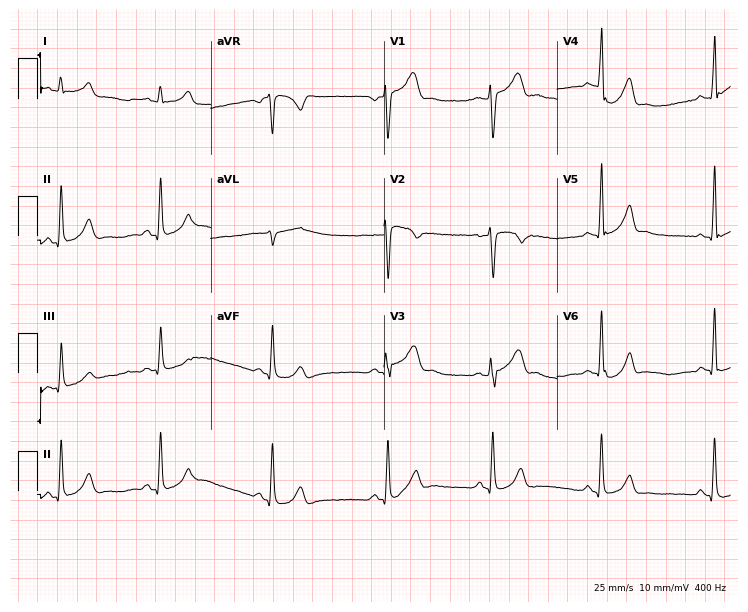
12-lead ECG from a male, 21 years old (7.1-second recording at 400 Hz). Recorded interpretation: within normal limits.